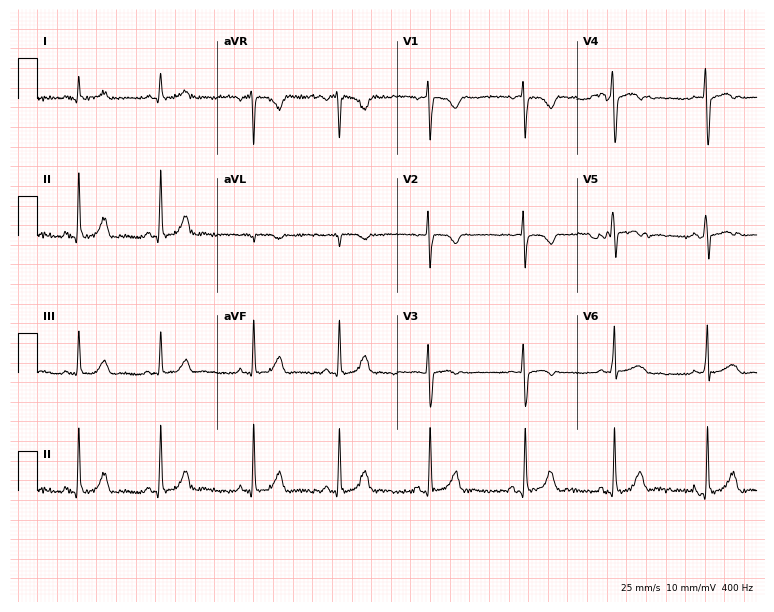
12-lead ECG (7.3-second recording at 400 Hz) from a female patient, 19 years old. Screened for six findings — first-degree AV block, right bundle branch block (RBBB), left bundle branch block (LBBB), sinus bradycardia, atrial fibrillation (AF), sinus tachycardia — none is recorded.